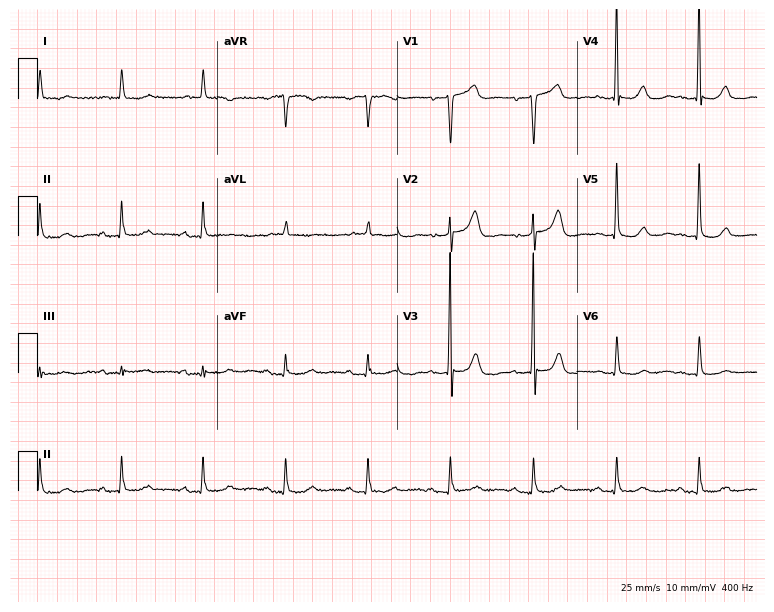
12-lead ECG from an 80-year-old woman (7.3-second recording at 400 Hz). No first-degree AV block, right bundle branch block, left bundle branch block, sinus bradycardia, atrial fibrillation or sinus tachycardia recorded for this tracing.